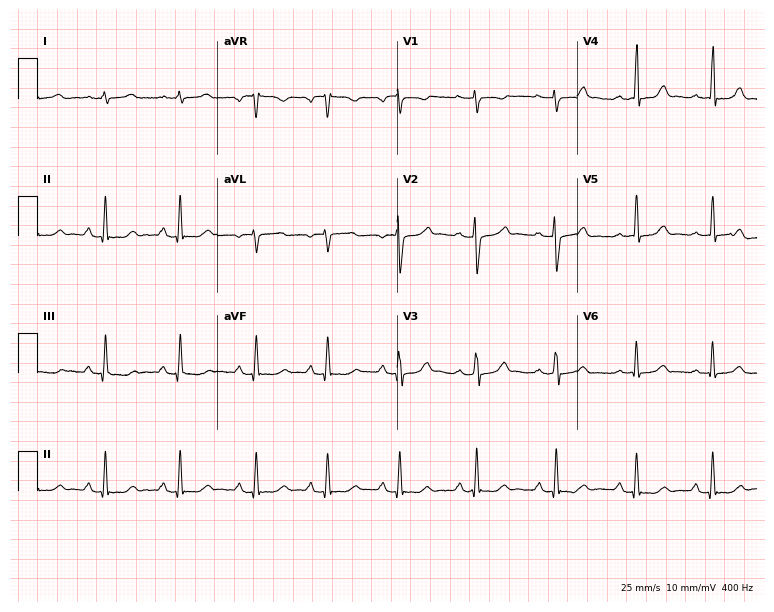
Electrocardiogram (7.3-second recording at 400 Hz), a 22-year-old female patient. Overall reading on record: normal ECG.